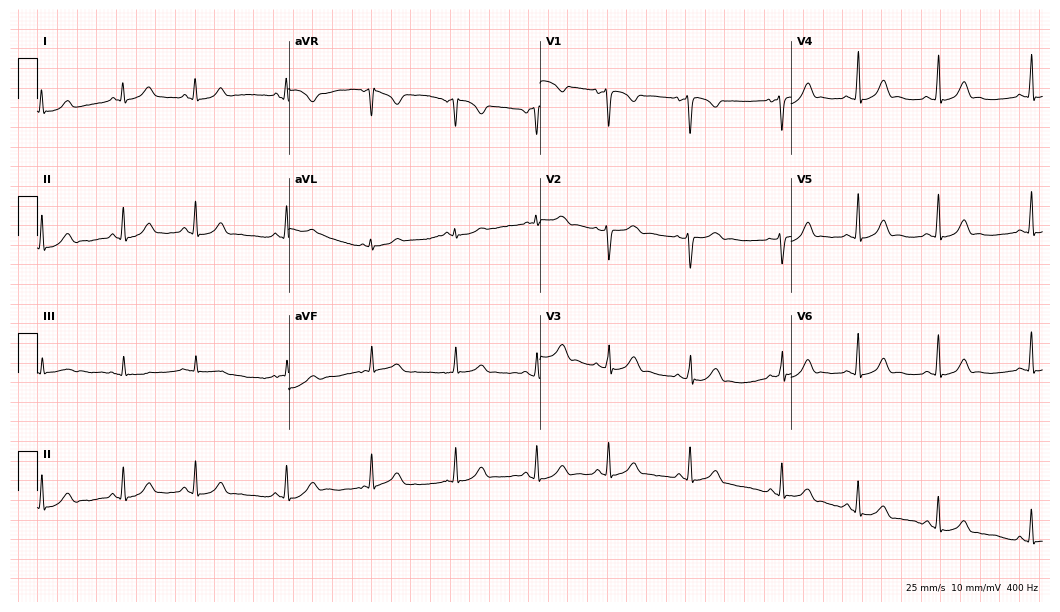
12-lead ECG from a 30-year-old female. No first-degree AV block, right bundle branch block, left bundle branch block, sinus bradycardia, atrial fibrillation or sinus tachycardia recorded for this tracing. Findings outside these six are not listed.